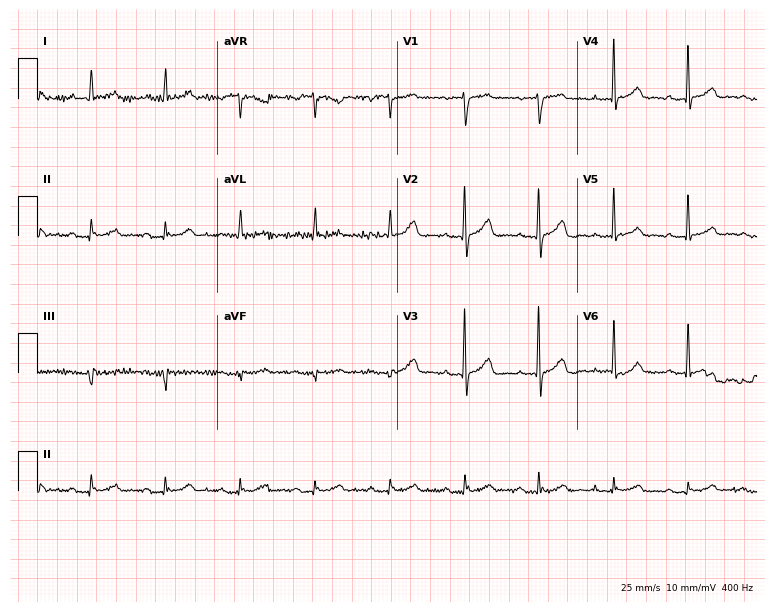
Electrocardiogram, an 83-year-old male. Interpretation includes first-degree AV block.